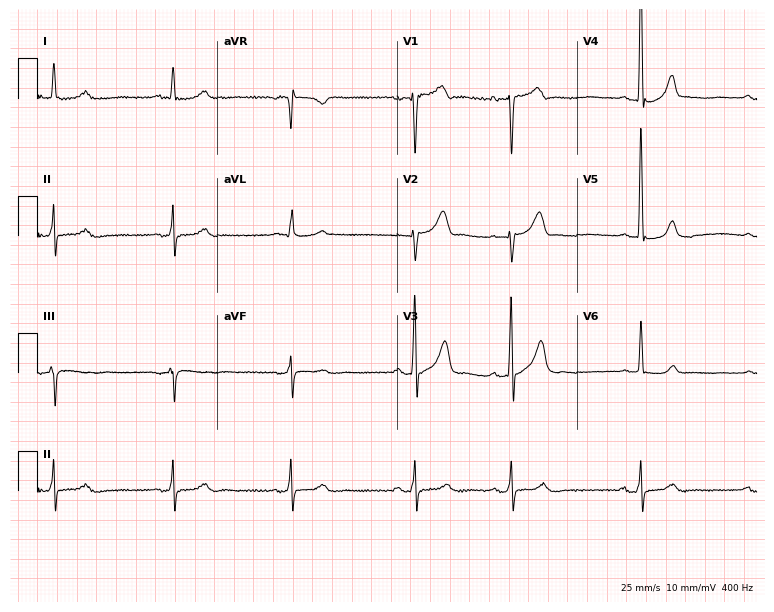
Electrocardiogram, a 62-year-old male patient. Interpretation includes sinus bradycardia (a sinus rate of 50 beats per minute or less).